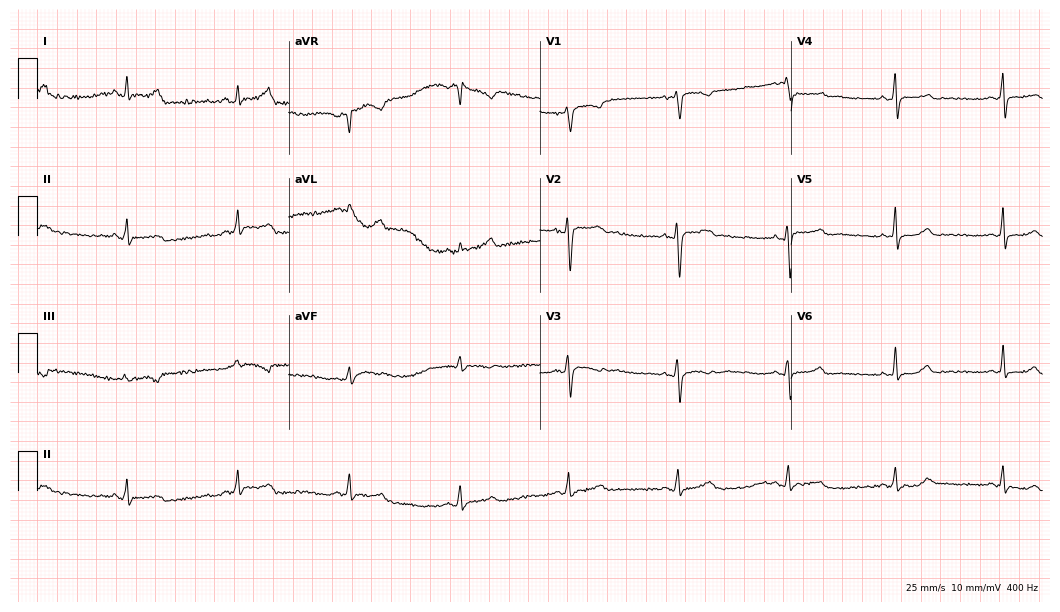
ECG (10.2-second recording at 400 Hz) — a woman, 52 years old. Screened for six findings — first-degree AV block, right bundle branch block, left bundle branch block, sinus bradycardia, atrial fibrillation, sinus tachycardia — none is recorded.